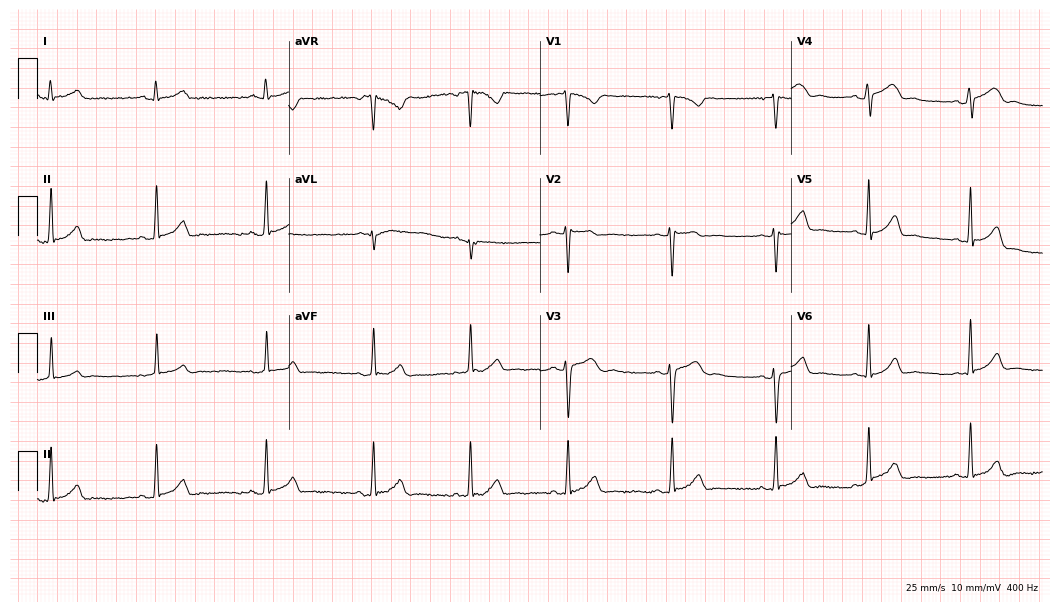
ECG — a female patient, 18 years old. Labelled as a normal ECG.